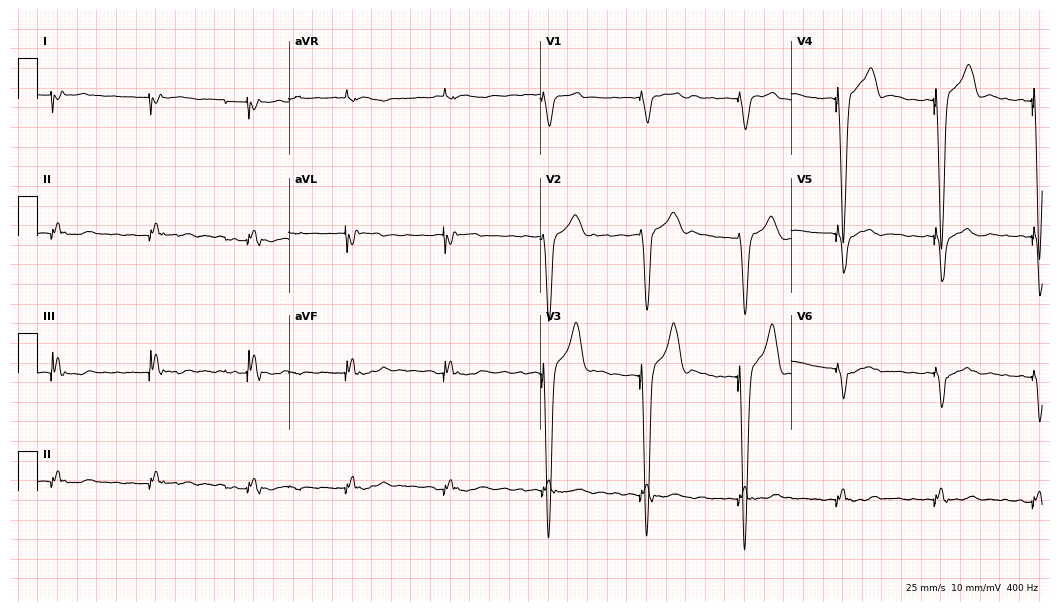
Standard 12-lead ECG recorded from an 87-year-old male patient. None of these six findings is recorded: first-degree AV block, right bundle branch block, left bundle branch block, sinus bradycardia, atrial fibrillation, sinus tachycardia.